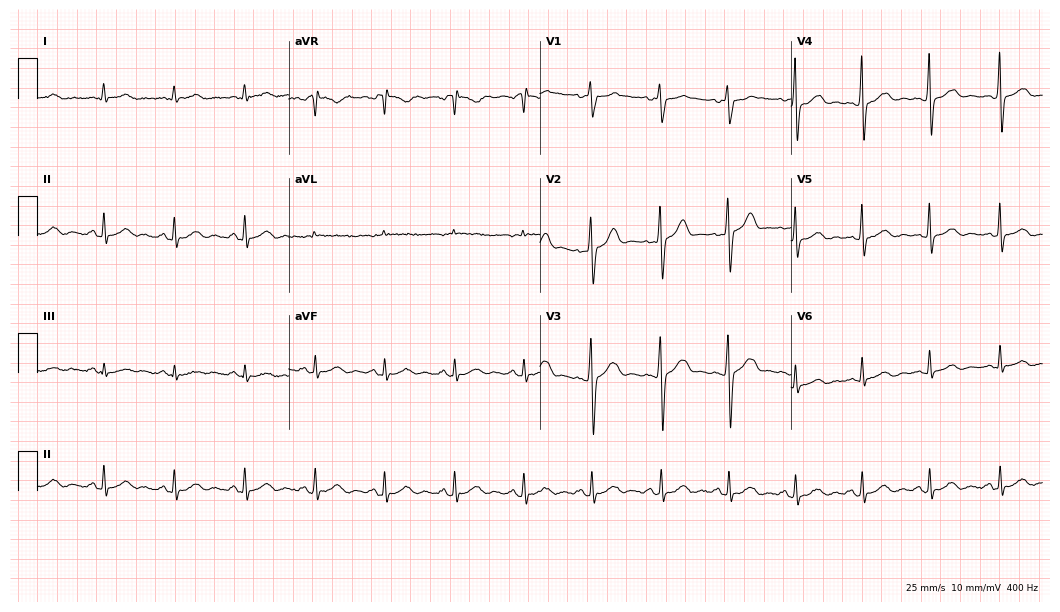
12-lead ECG from a 29-year-old male patient. No first-degree AV block, right bundle branch block (RBBB), left bundle branch block (LBBB), sinus bradycardia, atrial fibrillation (AF) or sinus tachycardia recorded for this tracing. Other findings, if any, are not listed.